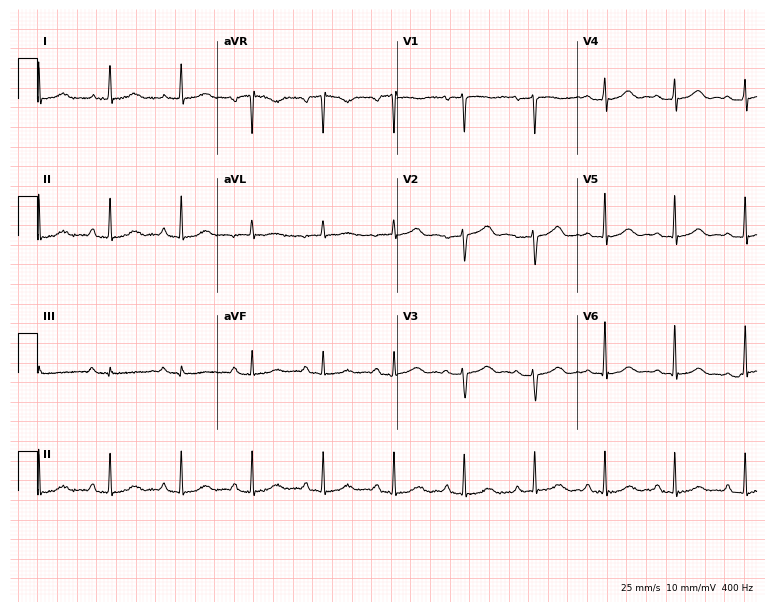
12-lead ECG from a 57-year-old female. Recorded interpretation: within normal limits.